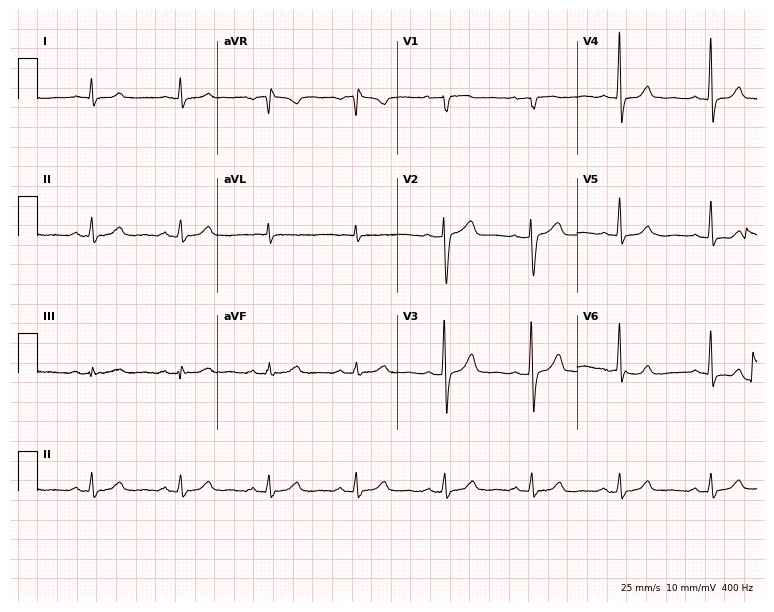
12-lead ECG from a female patient, 60 years old. Labelled as a normal ECG.